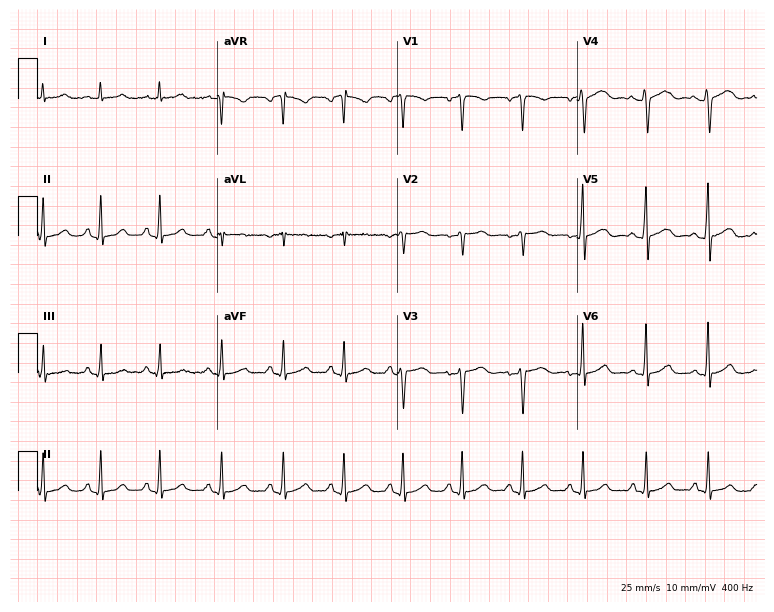
Resting 12-lead electrocardiogram (7.3-second recording at 400 Hz). Patient: a female, 43 years old. Read as a normal ECG.